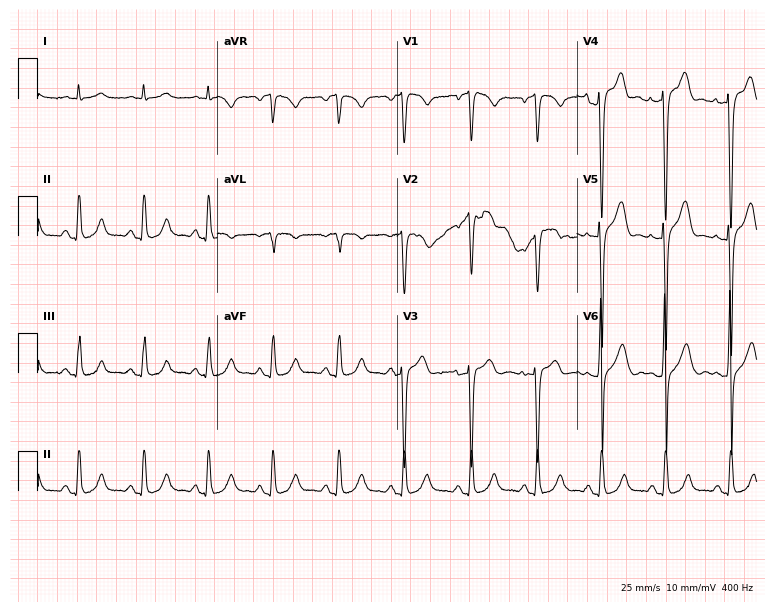
ECG — a 49-year-old male patient. Screened for six findings — first-degree AV block, right bundle branch block (RBBB), left bundle branch block (LBBB), sinus bradycardia, atrial fibrillation (AF), sinus tachycardia — none is recorded.